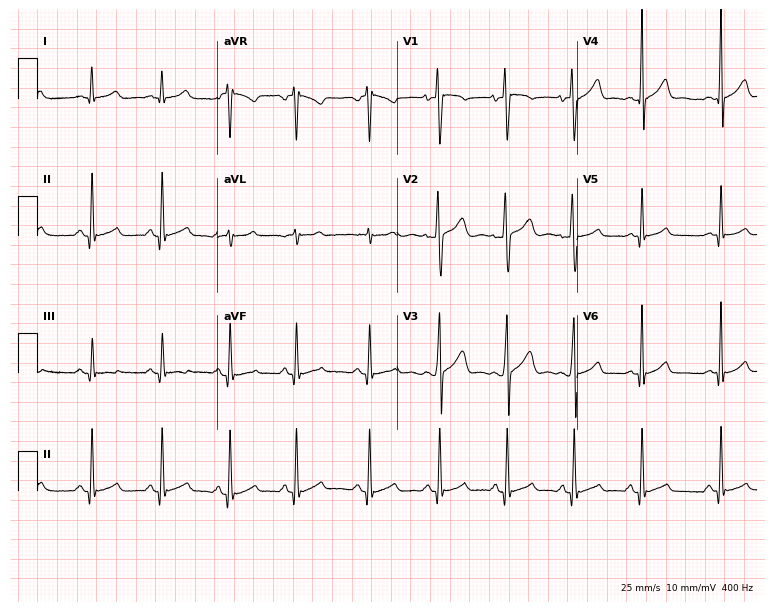
12-lead ECG from a 19-year-old male patient. Labelled as a normal ECG.